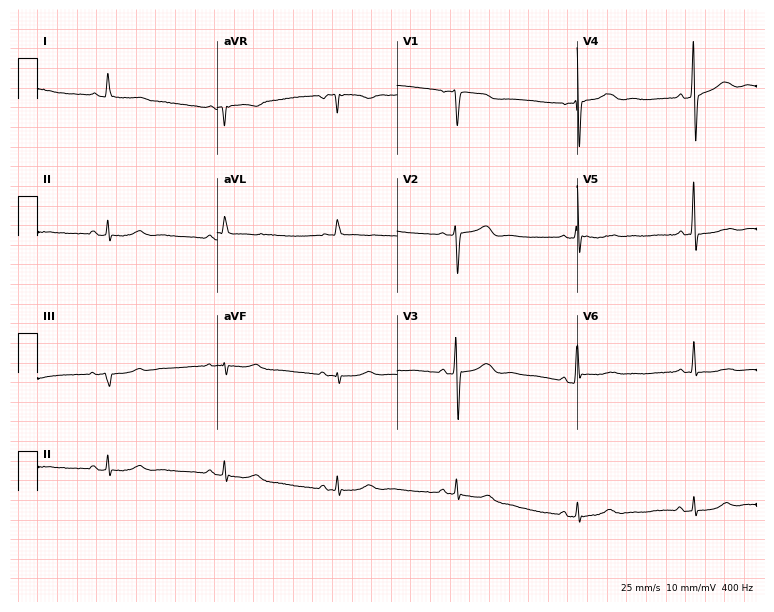
Standard 12-lead ECG recorded from a 71-year-old male patient (7.3-second recording at 400 Hz). None of these six findings is recorded: first-degree AV block, right bundle branch block (RBBB), left bundle branch block (LBBB), sinus bradycardia, atrial fibrillation (AF), sinus tachycardia. Findings outside these six are not listed.